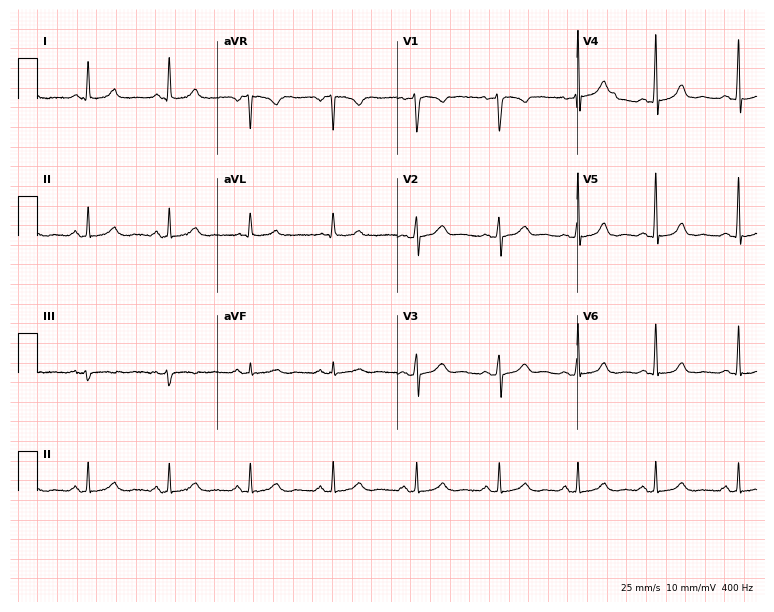
12-lead ECG from a female, 45 years old. Recorded interpretation: within normal limits.